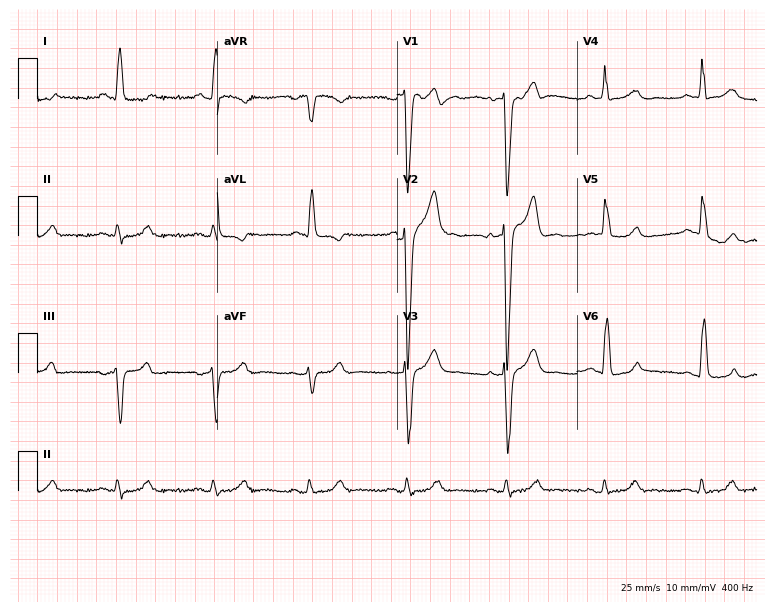
Electrocardiogram, a male patient, 80 years old. Of the six screened findings (first-degree AV block, right bundle branch block (RBBB), left bundle branch block (LBBB), sinus bradycardia, atrial fibrillation (AF), sinus tachycardia), none is recorded. Only these six findings were labelled.